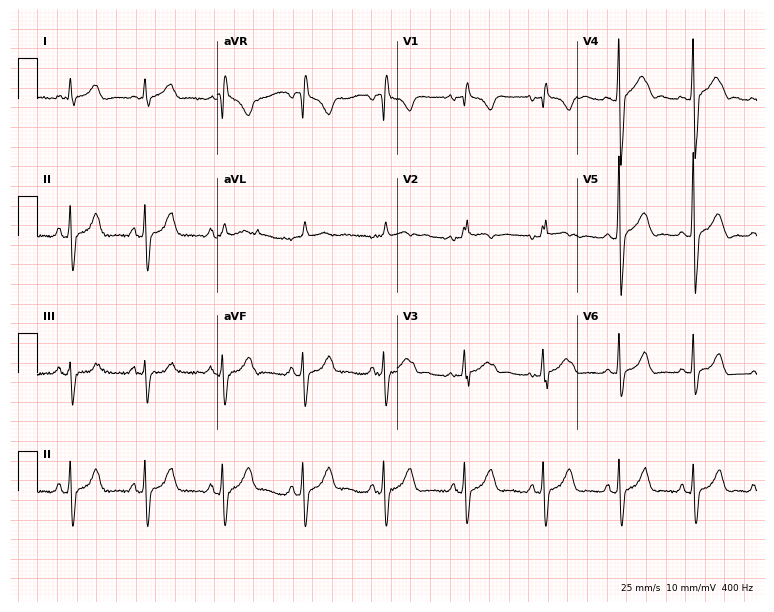
ECG (7.3-second recording at 400 Hz) — a male, 21 years old. Screened for six findings — first-degree AV block, right bundle branch block (RBBB), left bundle branch block (LBBB), sinus bradycardia, atrial fibrillation (AF), sinus tachycardia — none is recorded. Findings outside these six are not listed.